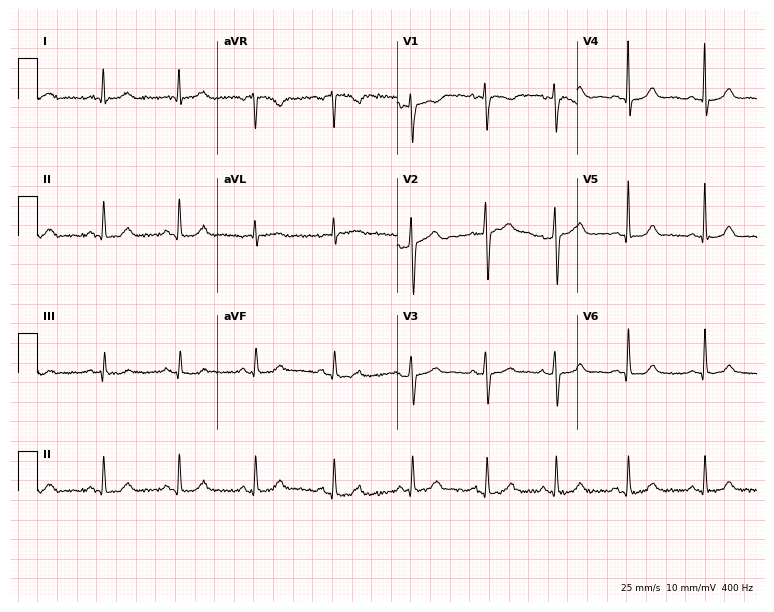
Electrocardiogram (7.3-second recording at 400 Hz), a 42-year-old female patient. Overall reading on record: normal ECG.